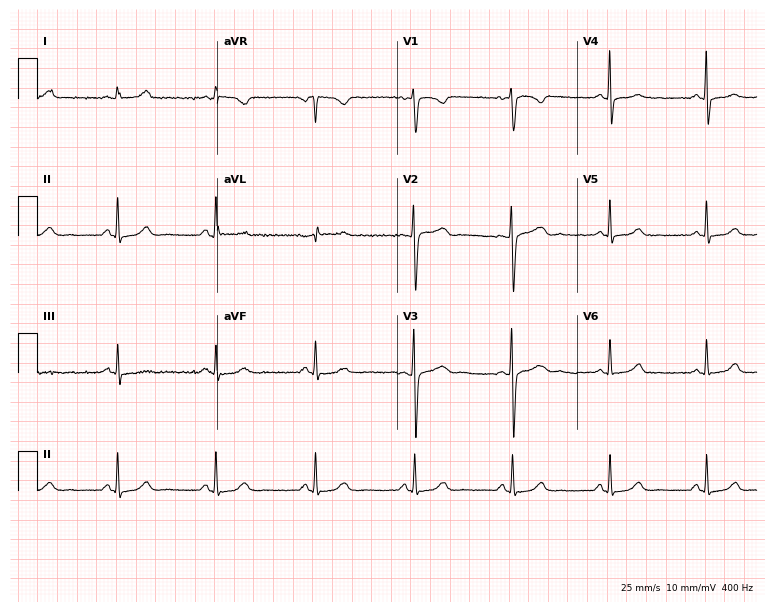
Electrocardiogram, a 37-year-old female patient. Overall reading on record: normal ECG.